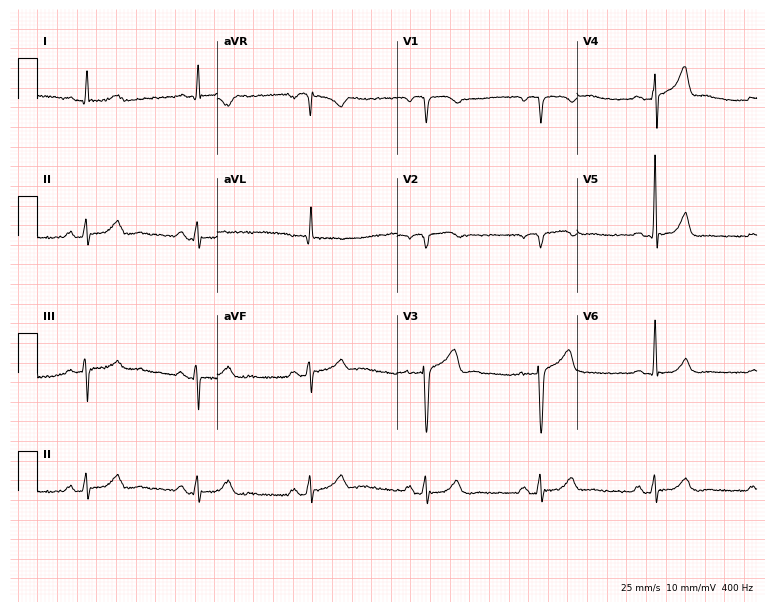
12-lead ECG from a 59-year-old male patient. No first-degree AV block, right bundle branch block, left bundle branch block, sinus bradycardia, atrial fibrillation or sinus tachycardia recorded for this tracing.